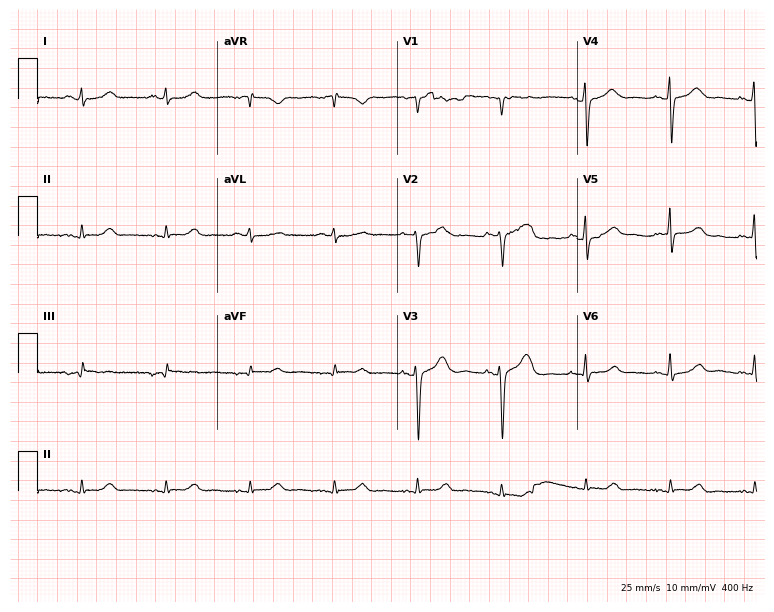
12-lead ECG (7.3-second recording at 400 Hz) from a 69-year-old woman. Screened for six findings — first-degree AV block, right bundle branch block (RBBB), left bundle branch block (LBBB), sinus bradycardia, atrial fibrillation (AF), sinus tachycardia — none is recorded. Only these six findings were labelled.